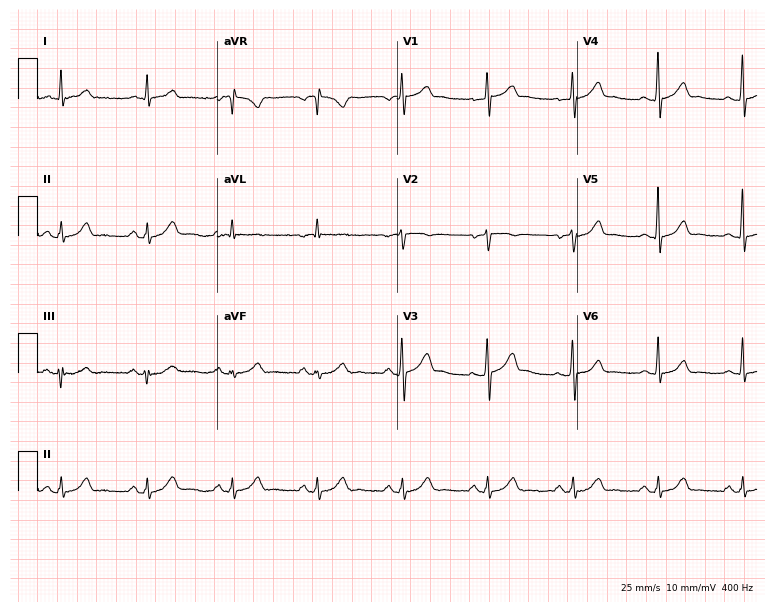
Electrocardiogram, a male, 60 years old. Of the six screened findings (first-degree AV block, right bundle branch block, left bundle branch block, sinus bradycardia, atrial fibrillation, sinus tachycardia), none is recorded.